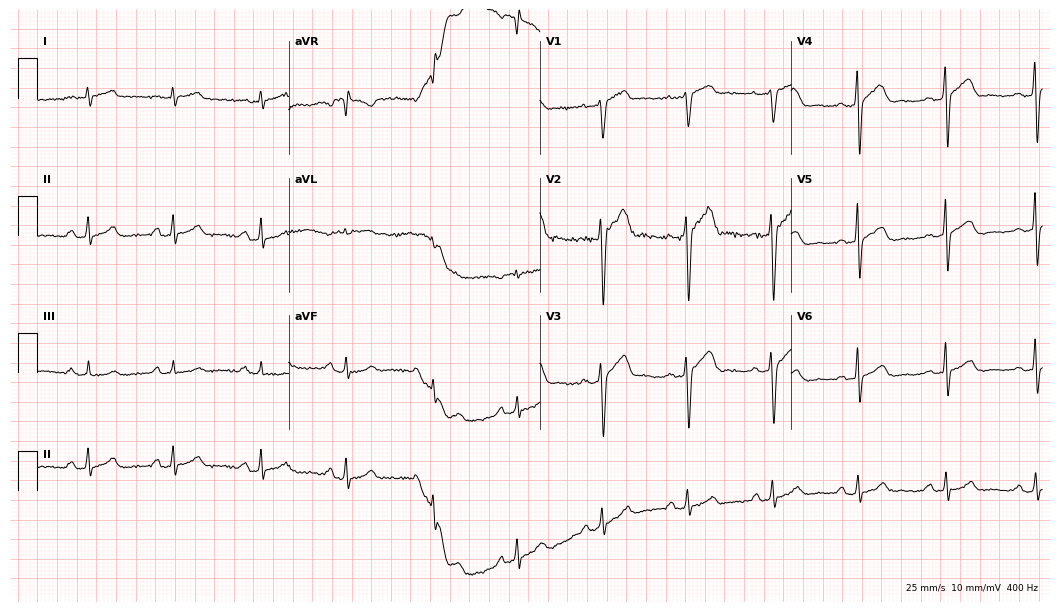
ECG — a 51-year-old male patient. Labelled as a normal ECG.